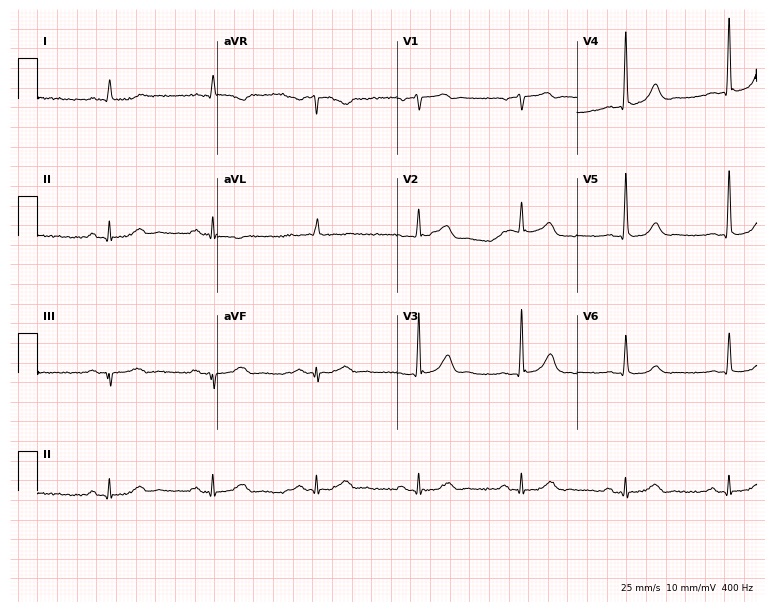
12-lead ECG from a male patient, 80 years old. No first-degree AV block, right bundle branch block, left bundle branch block, sinus bradycardia, atrial fibrillation or sinus tachycardia recorded for this tracing.